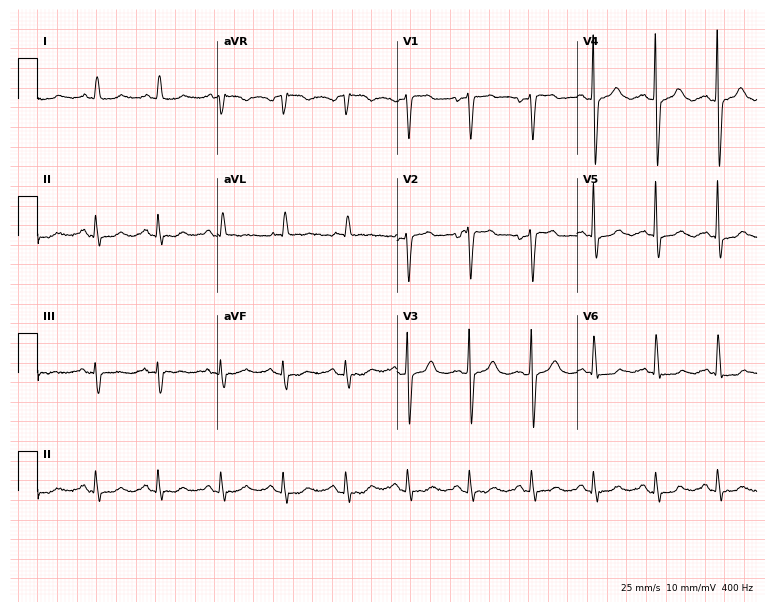
ECG — a 63-year-old female patient. Screened for six findings — first-degree AV block, right bundle branch block, left bundle branch block, sinus bradycardia, atrial fibrillation, sinus tachycardia — none is recorded. Findings outside these six are not listed.